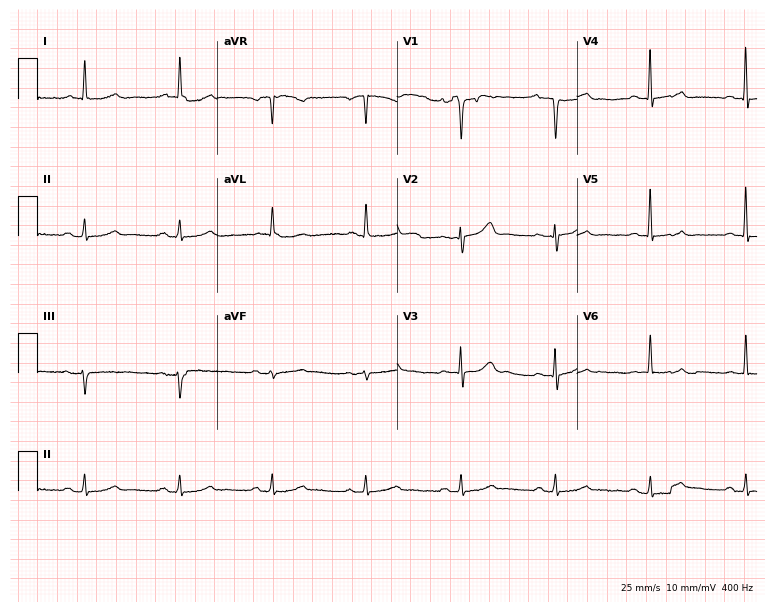
12-lead ECG (7.3-second recording at 400 Hz) from an 84-year-old male. Labelled as a normal ECG.